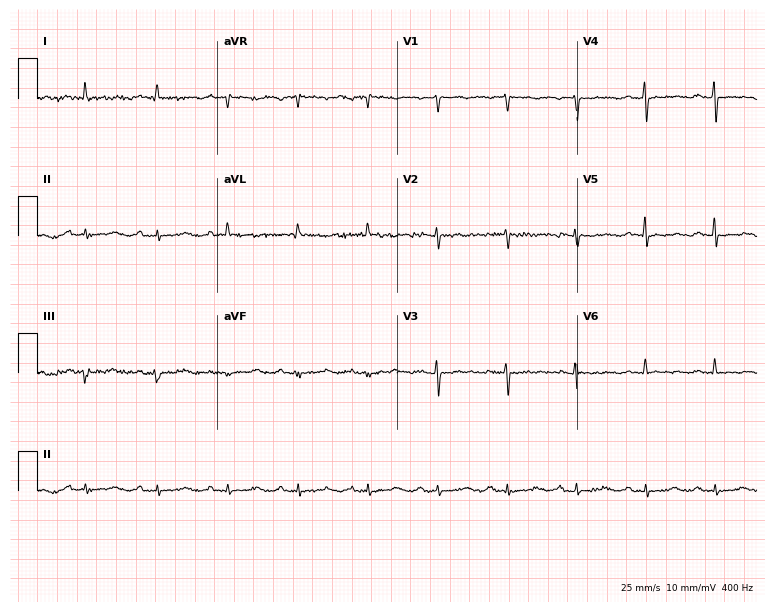
Standard 12-lead ECG recorded from a 54-year-old female. None of these six findings is recorded: first-degree AV block, right bundle branch block (RBBB), left bundle branch block (LBBB), sinus bradycardia, atrial fibrillation (AF), sinus tachycardia. Only these six findings were labelled.